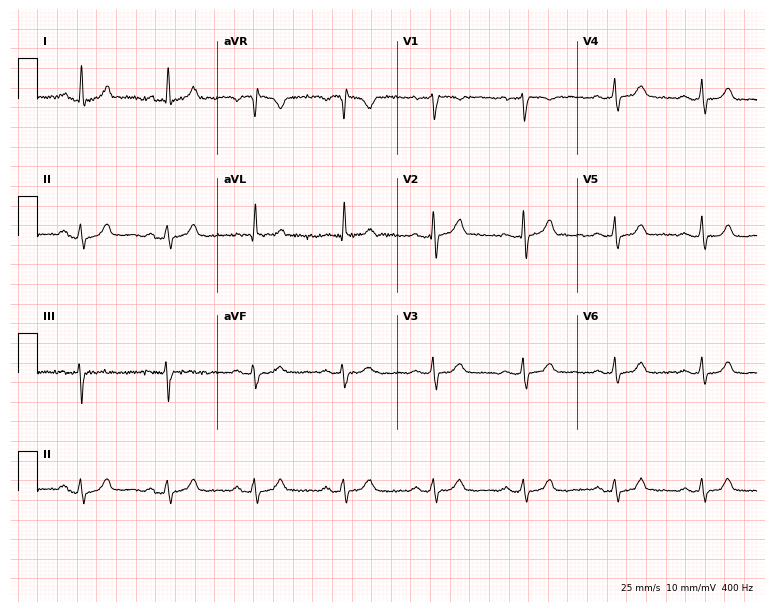
12-lead ECG from a 40-year-old female patient. No first-degree AV block, right bundle branch block (RBBB), left bundle branch block (LBBB), sinus bradycardia, atrial fibrillation (AF) or sinus tachycardia recorded for this tracing. Findings outside these six are not listed.